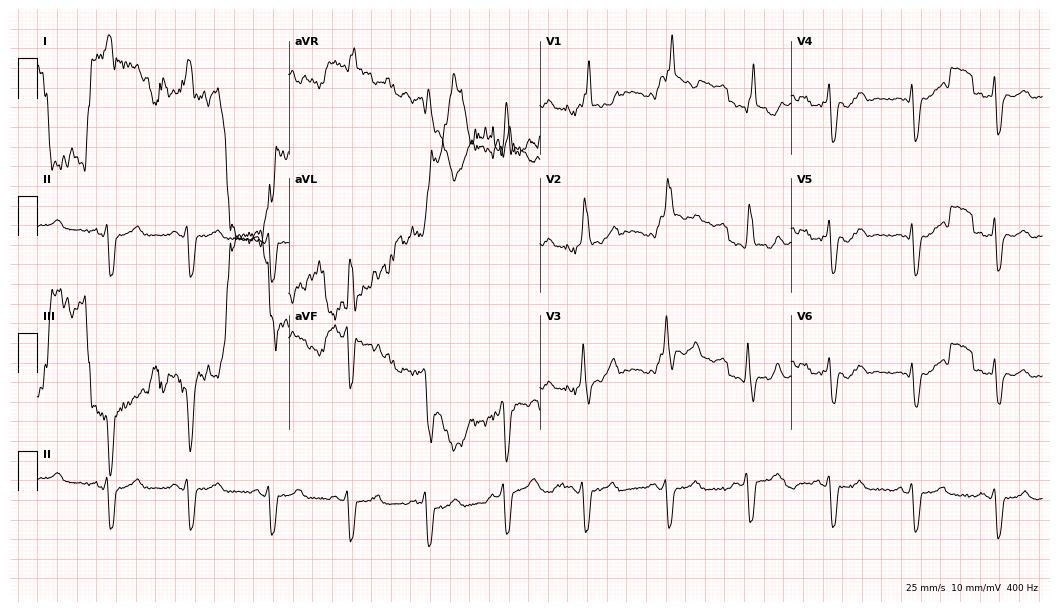
Electrocardiogram (10.2-second recording at 400 Hz), a woman, 74 years old. Of the six screened findings (first-degree AV block, right bundle branch block, left bundle branch block, sinus bradycardia, atrial fibrillation, sinus tachycardia), none is recorded.